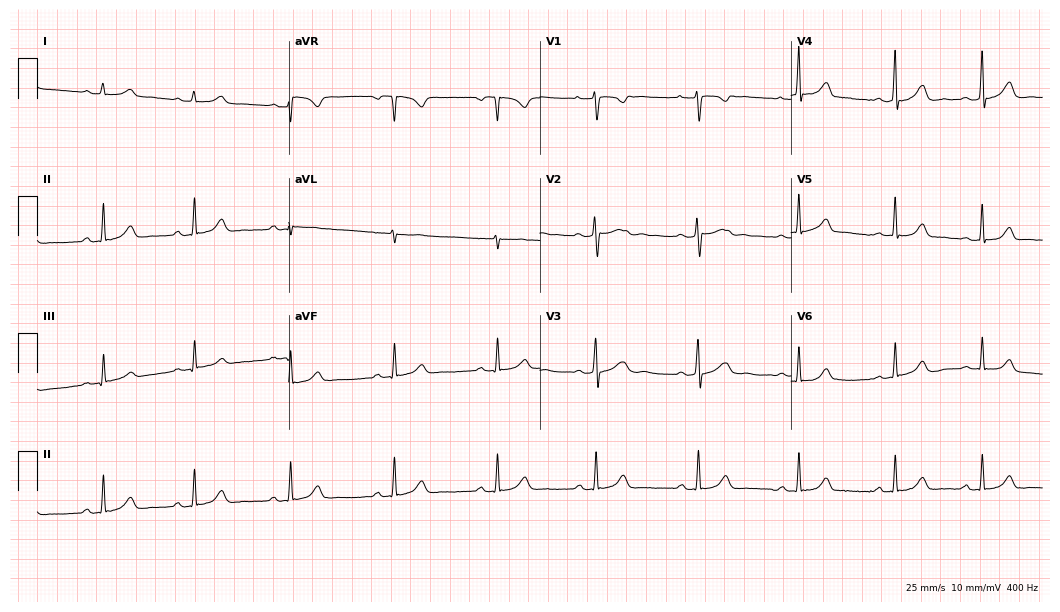
Standard 12-lead ECG recorded from a 26-year-old female. Read as a normal ECG.